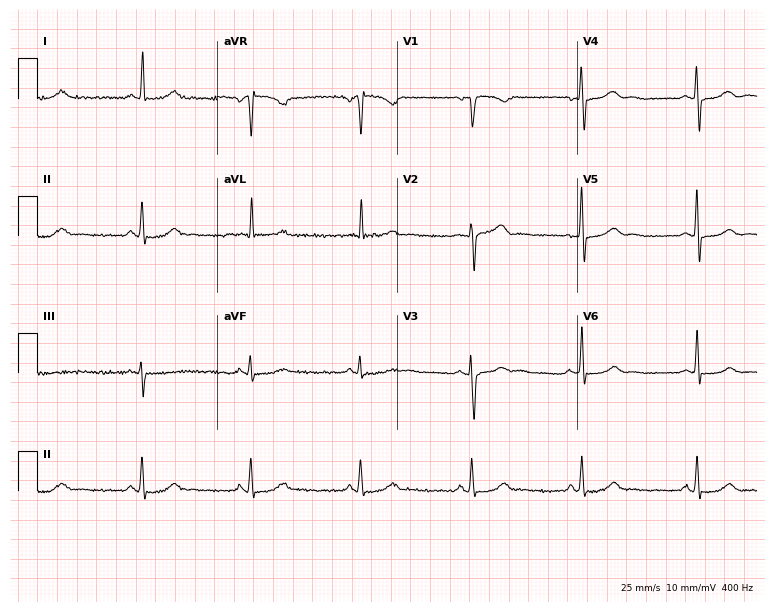
12-lead ECG (7.3-second recording at 400 Hz) from a 57-year-old female patient. Labelled as a normal ECG.